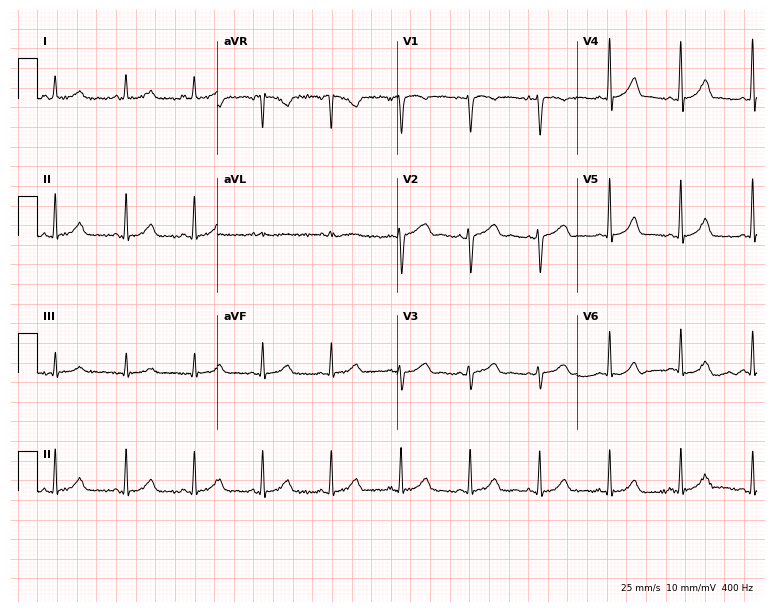
ECG (7.3-second recording at 400 Hz) — a woman, 37 years old. Labelled as a normal ECG.